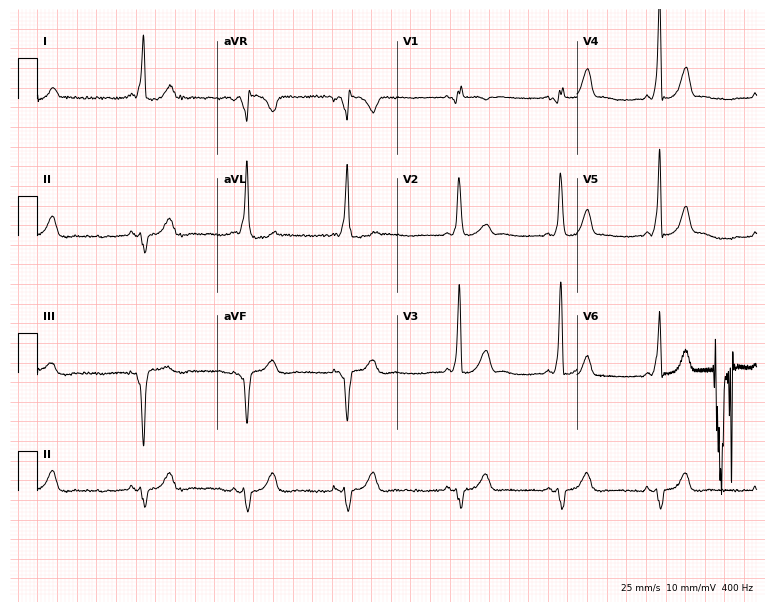
12-lead ECG from a 31-year-old female. No first-degree AV block, right bundle branch block (RBBB), left bundle branch block (LBBB), sinus bradycardia, atrial fibrillation (AF) or sinus tachycardia recorded for this tracing.